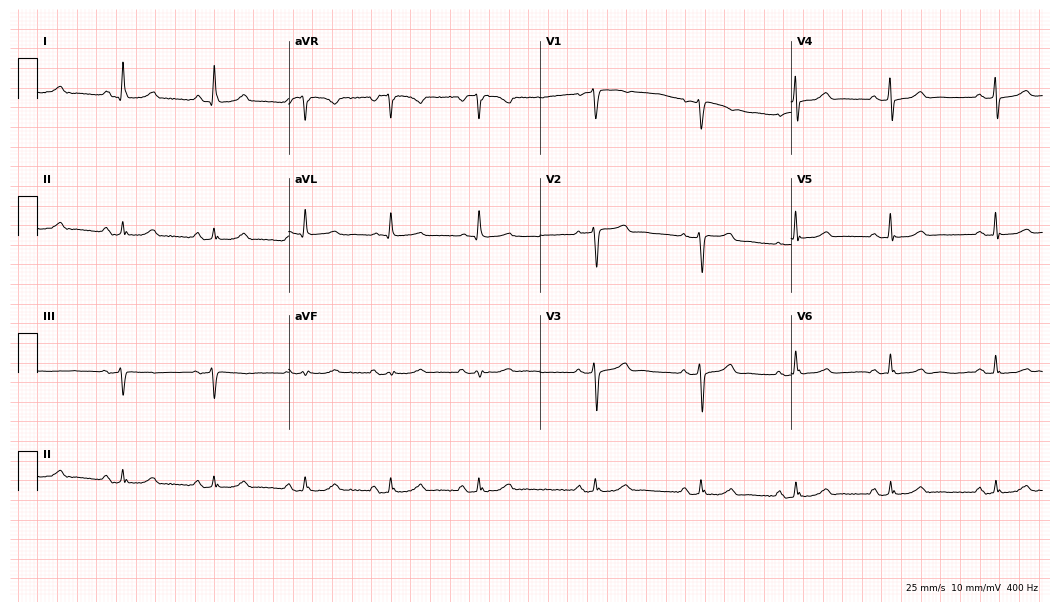
Electrocardiogram (10.2-second recording at 400 Hz), a 56-year-old woman. Overall reading on record: normal ECG.